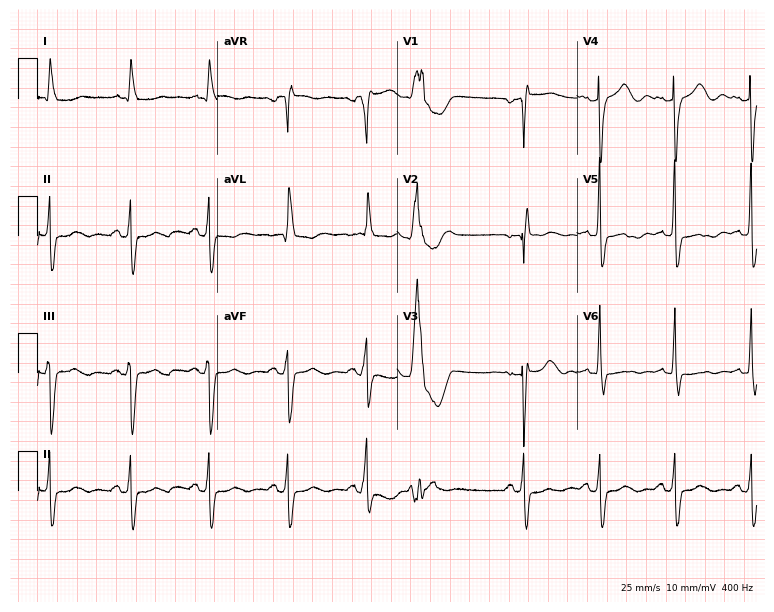
12-lead ECG from a female patient, 84 years old. Findings include right bundle branch block.